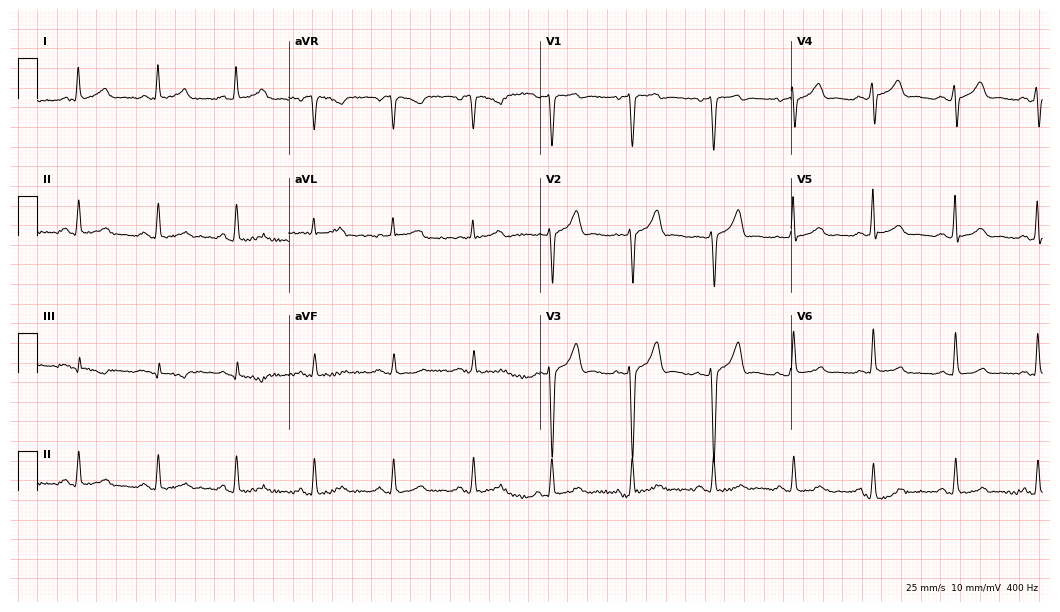
12-lead ECG from a 55-year-old male patient (10.2-second recording at 400 Hz). No first-degree AV block, right bundle branch block (RBBB), left bundle branch block (LBBB), sinus bradycardia, atrial fibrillation (AF) or sinus tachycardia recorded for this tracing. Only these six findings were labelled.